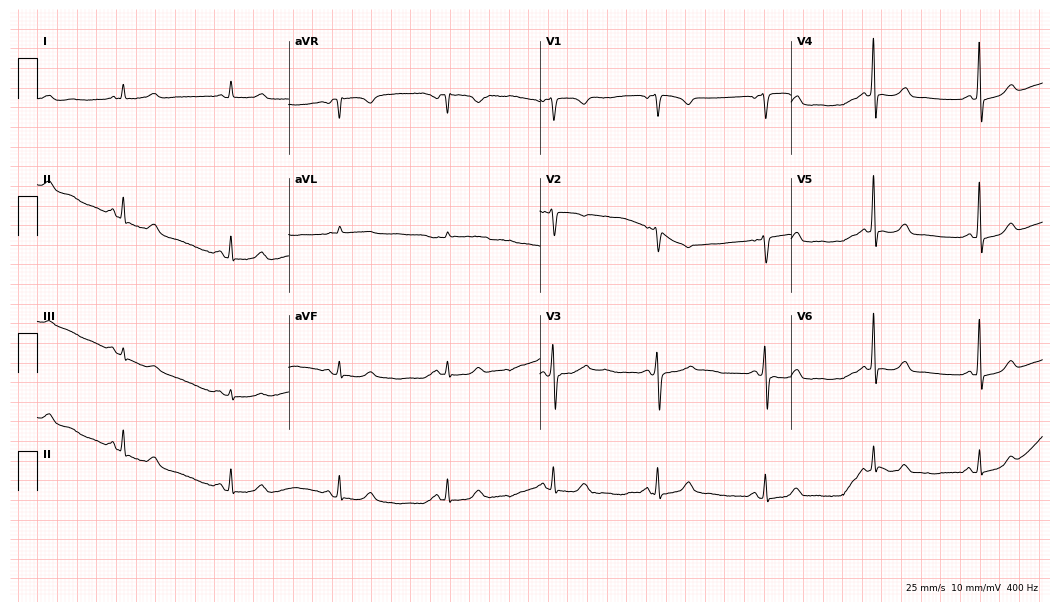
Resting 12-lead electrocardiogram (10.2-second recording at 400 Hz). Patient: a female, 69 years old. Read as a normal ECG.